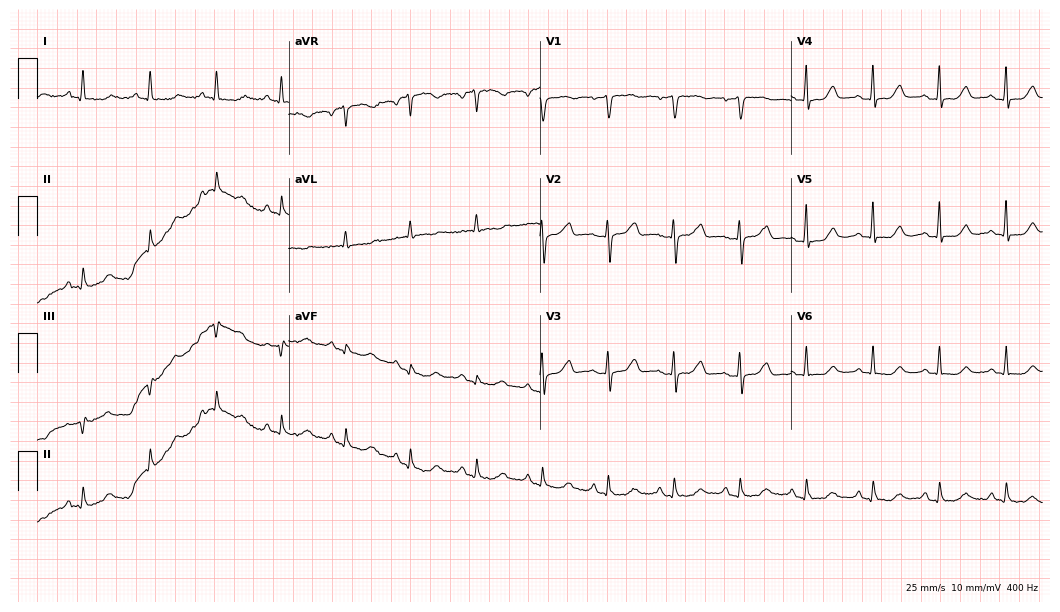
Resting 12-lead electrocardiogram. Patient: a woman, 57 years old. None of these six findings is recorded: first-degree AV block, right bundle branch block, left bundle branch block, sinus bradycardia, atrial fibrillation, sinus tachycardia. Only these six findings were labelled.